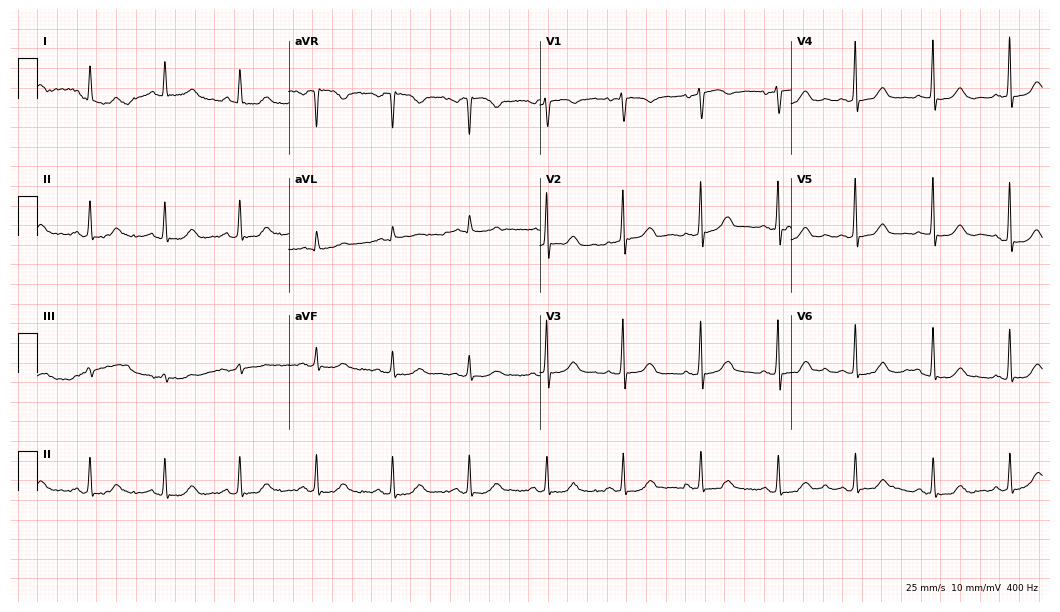
12-lead ECG from a female patient, 55 years old. Labelled as a normal ECG.